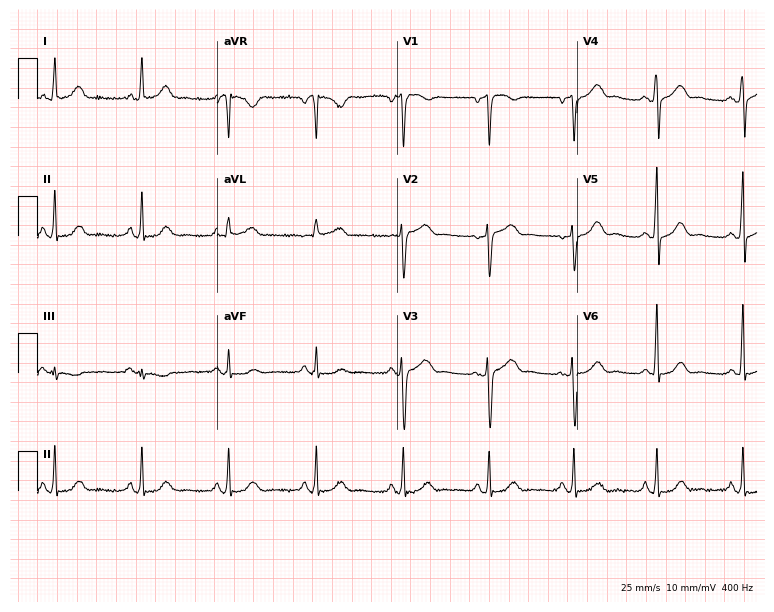
12-lead ECG (7.3-second recording at 400 Hz) from a female, 60 years old. Screened for six findings — first-degree AV block, right bundle branch block, left bundle branch block, sinus bradycardia, atrial fibrillation, sinus tachycardia — none is recorded. Other findings, if any, are not listed.